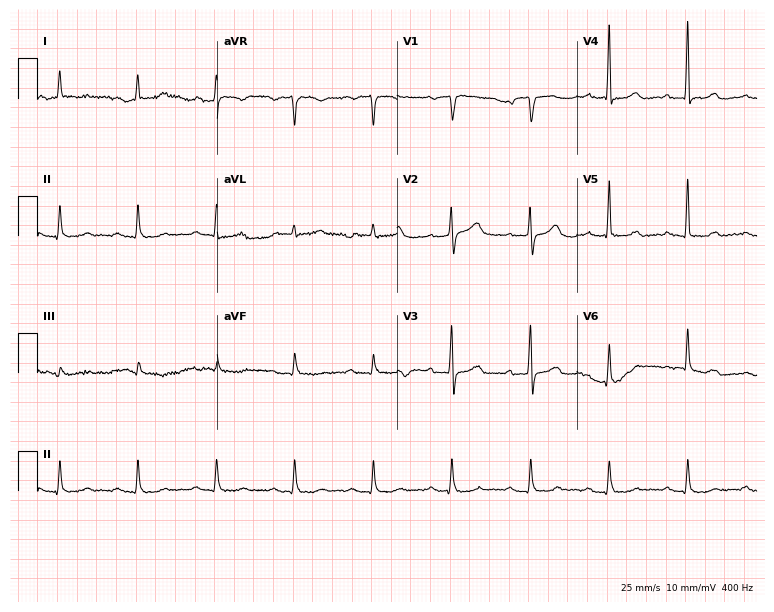
12-lead ECG from a man, 71 years old. Recorded interpretation: within normal limits.